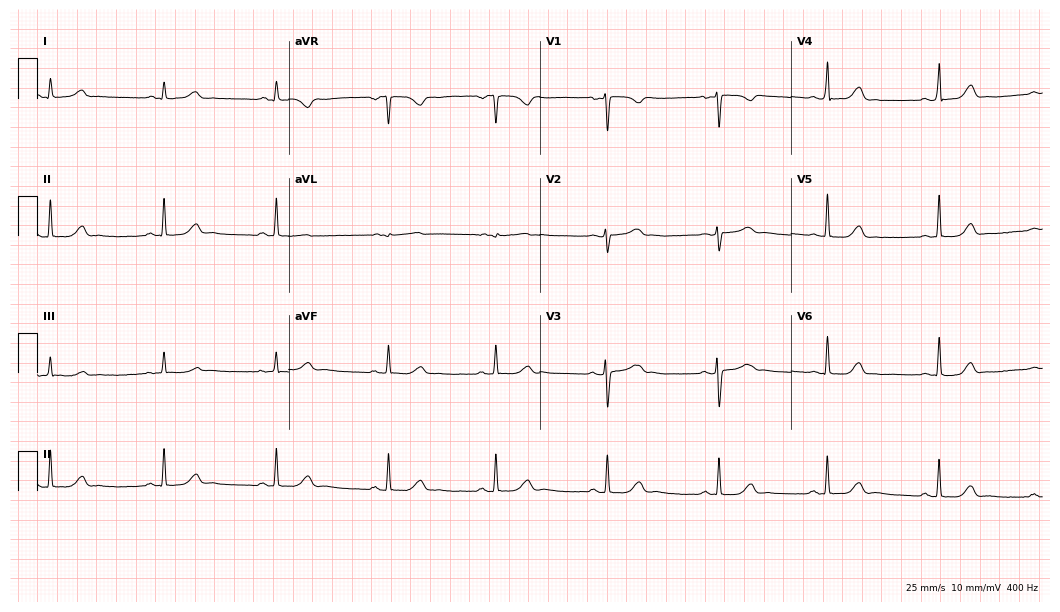
12-lead ECG from a 42-year-old woman. Labelled as a normal ECG.